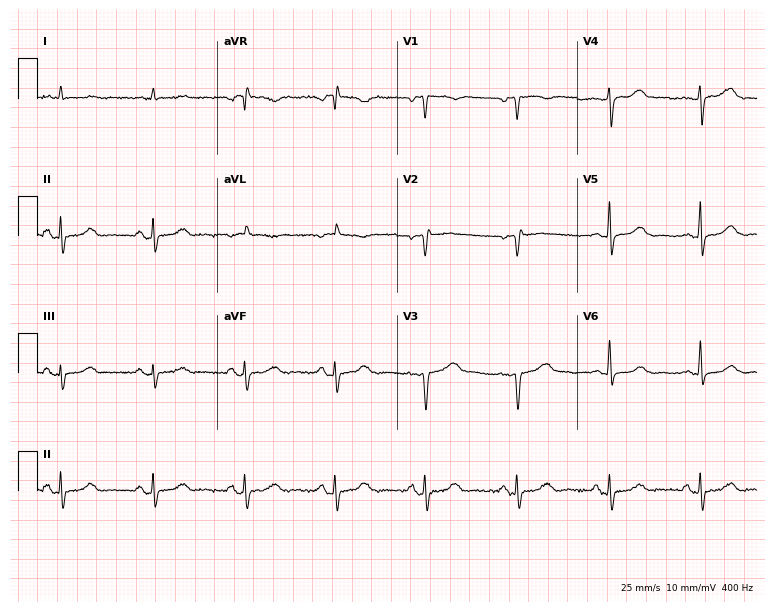
12-lead ECG (7.3-second recording at 400 Hz) from a man, 73 years old. Screened for six findings — first-degree AV block, right bundle branch block, left bundle branch block, sinus bradycardia, atrial fibrillation, sinus tachycardia — none is recorded.